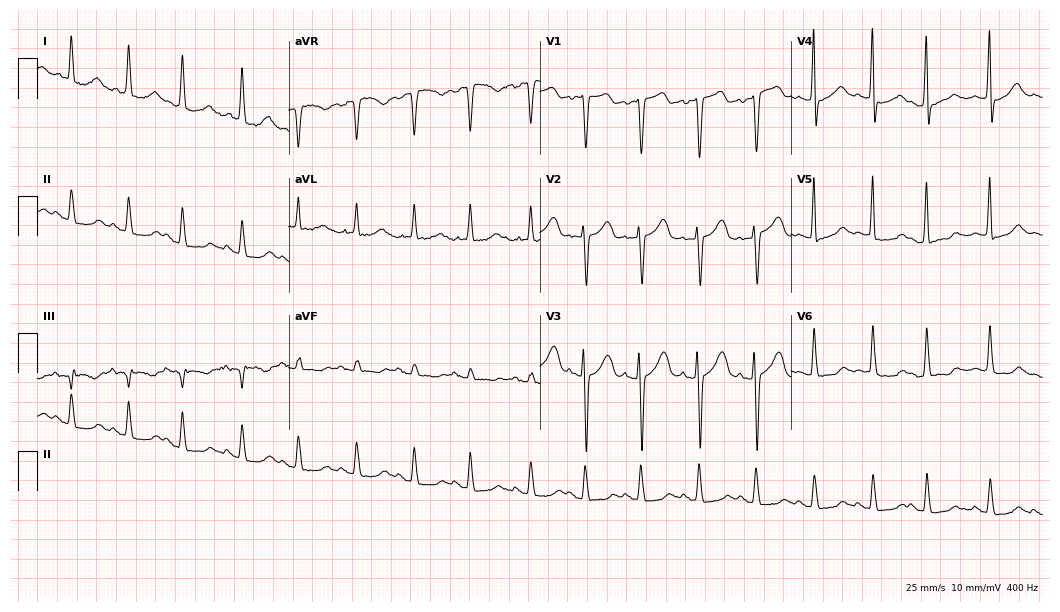
ECG (10.2-second recording at 400 Hz) — a 72-year-old female. Findings include sinus tachycardia (a sinus rate of 100 beats per minute or more).